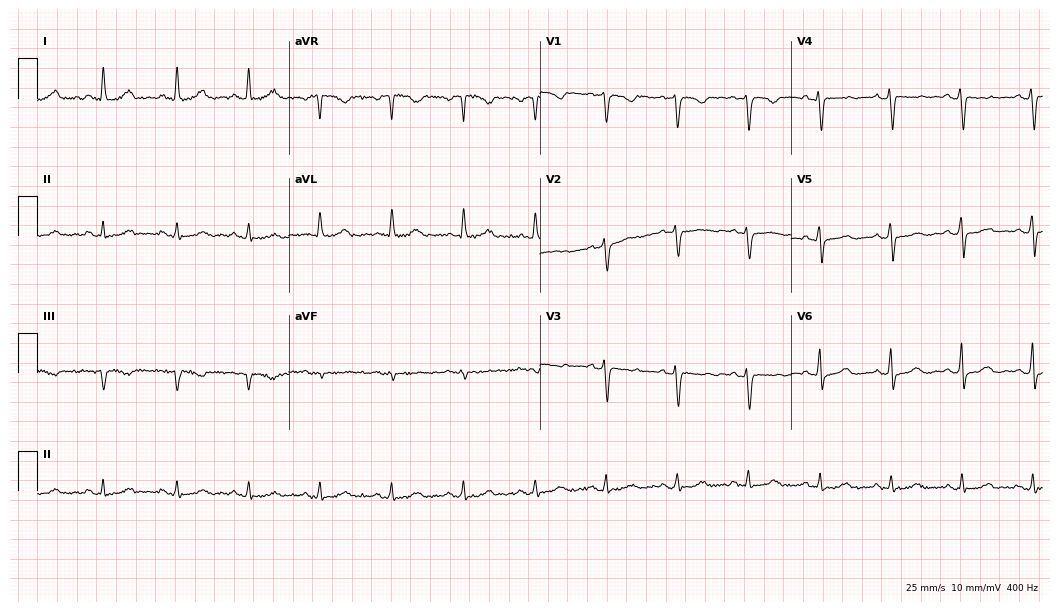
ECG (10.2-second recording at 400 Hz) — a woman, 66 years old. Screened for six findings — first-degree AV block, right bundle branch block, left bundle branch block, sinus bradycardia, atrial fibrillation, sinus tachycardia — none is recorded.